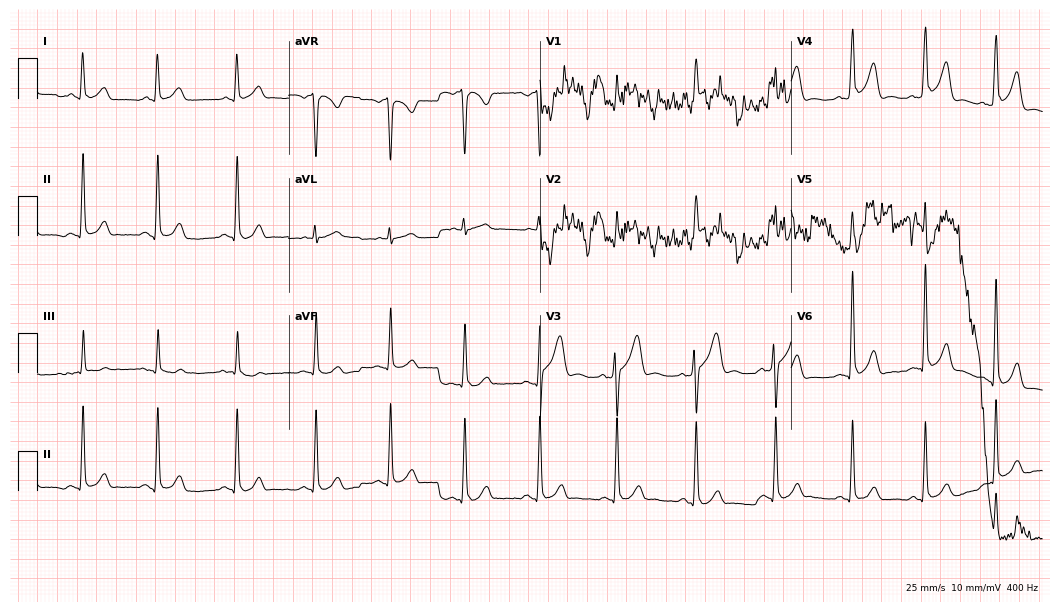
Electrocardiogram, a 41-year-old man. Of the six screened findings (first-degree AV block, right bundle branch block (RBBB), left bundle branch block (LBBB), sinus bradycardia, atrial fibrillation (AF), sinus tachycardia), none is recorded. Findings outside these six are not listed.